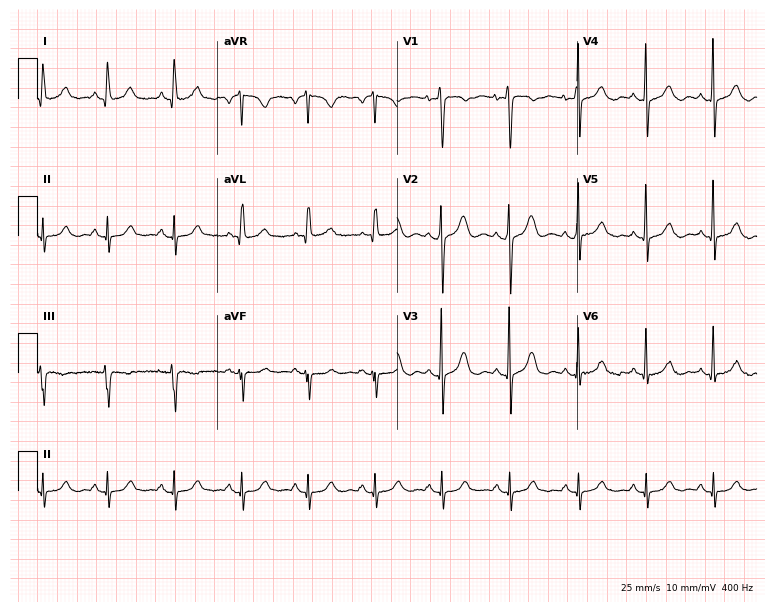
Standard 12-lead ECG recorded from a 42-year-old female patient (7.3-second recording at 400 Hz). Read as a normal ECG.